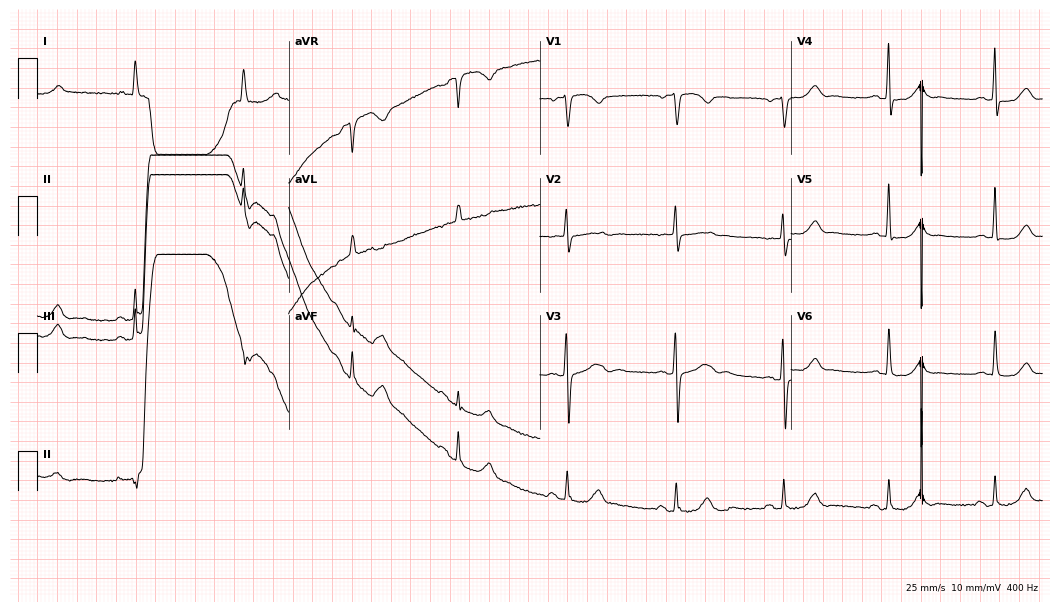
12-lead ECG from an 85-year-old female. No first-degree AV block, right bundle branch block (RBBB), left bundle branch block (LBBB), sinus bradycardia, atrial fibrillation (AF) or sinus tachycardia recorded for this tracing.